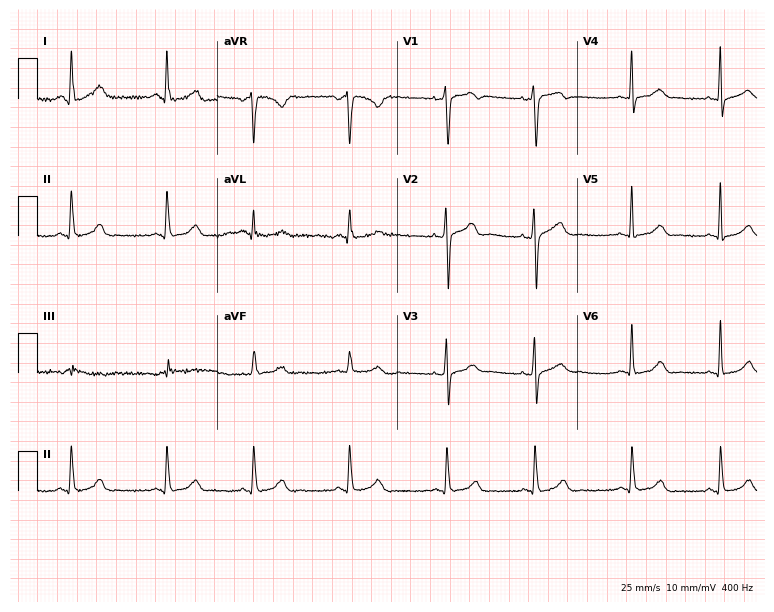
12-lead ECG from a 35-year-old female patient (7.3-second recording at 400 Hz). No first-degree AV block, right bundle branch block, left bundle branch block, sinus bradycardia, atrial fibrillation or sinus tachycardia recorded for this tracing.